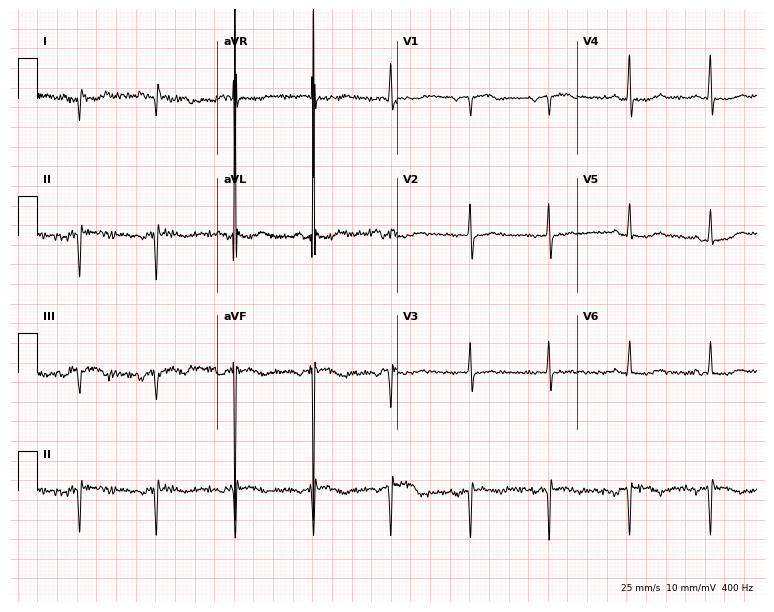
12-lead ECG from a female patient, 77 years old. No first-degree AV block, right bundle branch block, left bundle branch block, sinus bradycardia, atrial fibrillation or sinus tachycardia recorded for this tracing. Only these six findings were labelled.